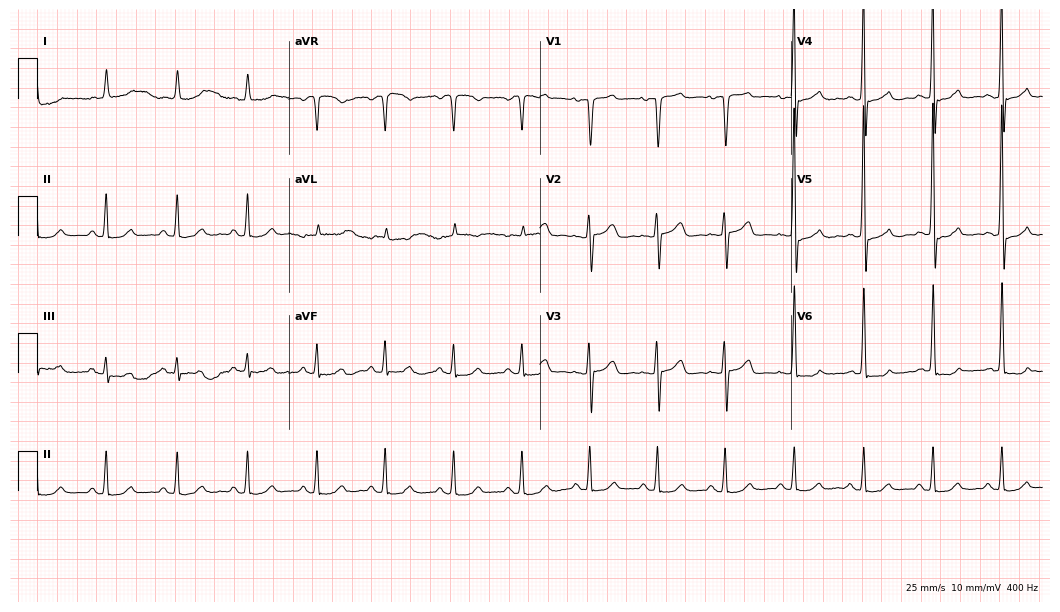
Standard 12-lead ECG recorded from a 78-year-old male (10.2-second recording at 400 Hz). Read as a normal ECG.